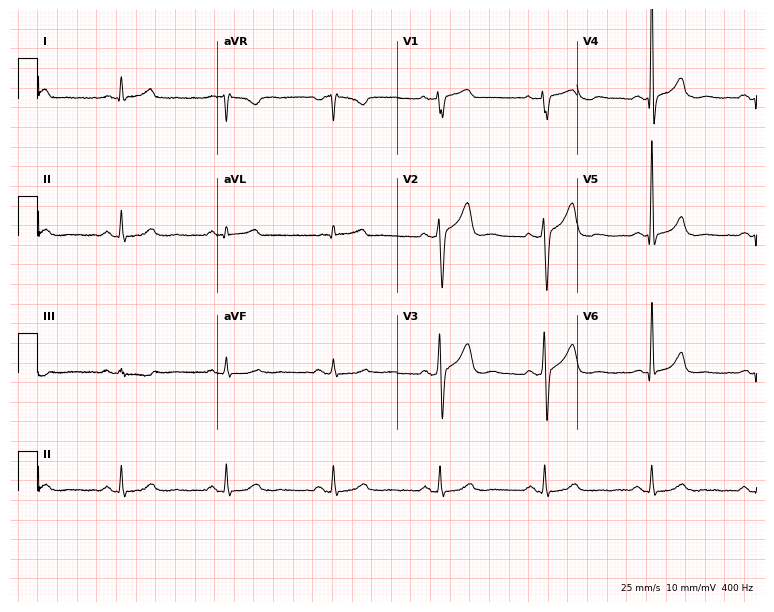
Electrocardiogram, a 63-year-old man. Of the six screened findings (first-degree AV block, right bundle branch block (RBBB), left bundle branch block (LBBB), sinus bradycardia, atrial fibrillation (AF), sinus tachycardia), none is recorded. Only these six findings were labelled.